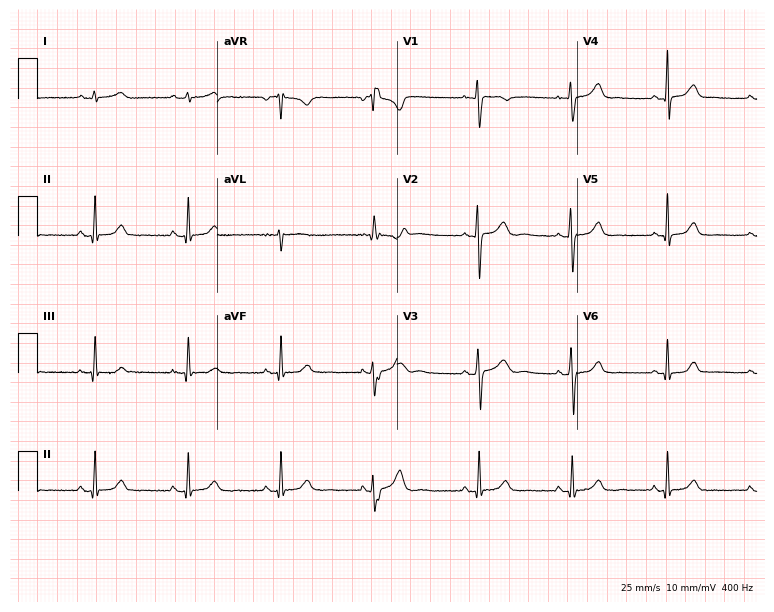
Electrocardiogram (7.3-second recording at 400 Hz), a 30-year-old female patient. Of the six screened findings (first-degree AV block, right bundle branch block, left bundle branch block, sinus bradycardia, atrial fibrillation, sinus tachycardia), none is recorded.